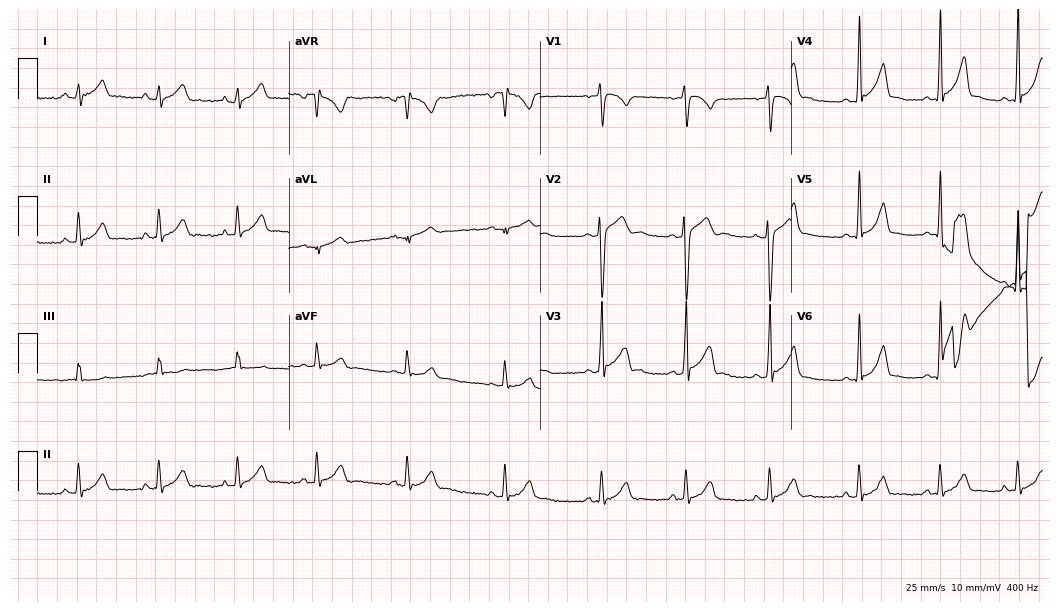
12-lead ECG from a 17-year-old male patient. Labelled as a normal ECG.